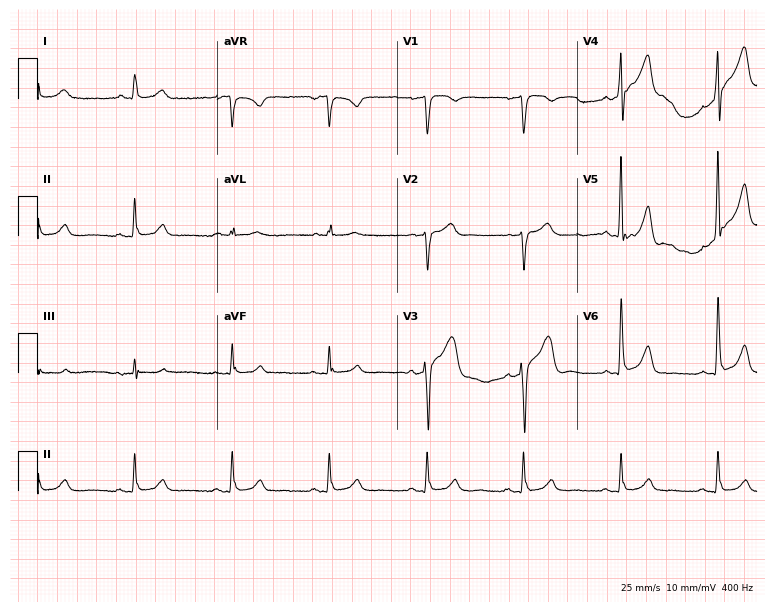
12-lead ECG from a male patient, 59 years old (7.3-second recording at 400 Hz). No first-degree AV block, right bundle branch block (RBBB), left bundle branch block (LBBB), sinus bradycardia, atrial fibrillation (AF) or sinus tachycardia recorded for this tracing.